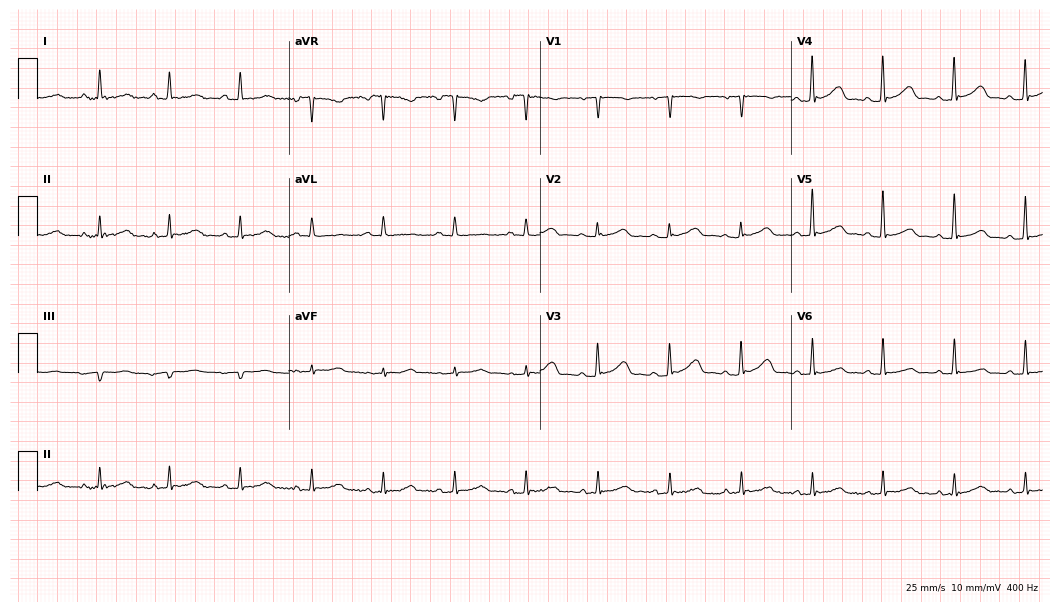
12-lead ECG from a woman, 51 years old (10.2-second recording at 400 Hz). Recorded interpretation: within normal limits.